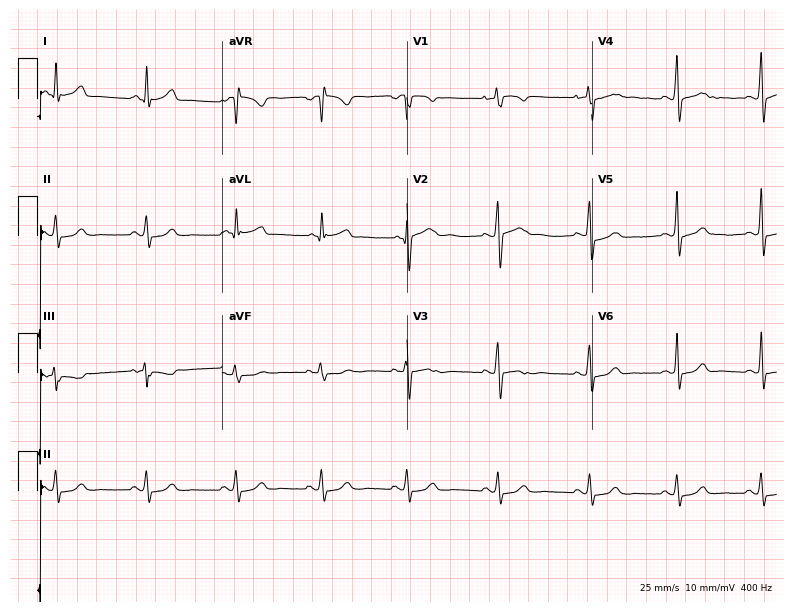
Electrocardiogram (7.5-second recording at 400 Hz), a female, 26 years old. Of the six screened findings (first-degree AV block, right bundle branch block, left bundle branch block, sinus bradycardia, atrial fibrillation, sinus tachycardia), none is recorded.